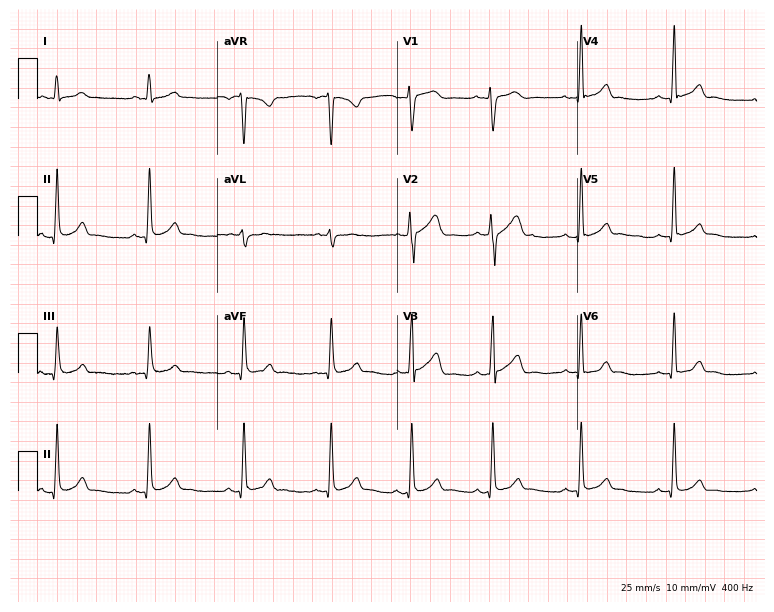
Standard 12-lead ECG recorded from a 23-year-old male. None of these six findings is recorded: first-degree AV block, right bundle branch block, left bundle branch block, sinus bradycardia, atrial fibrillation, sinus tachycardia. Findings outside these six are not listed.